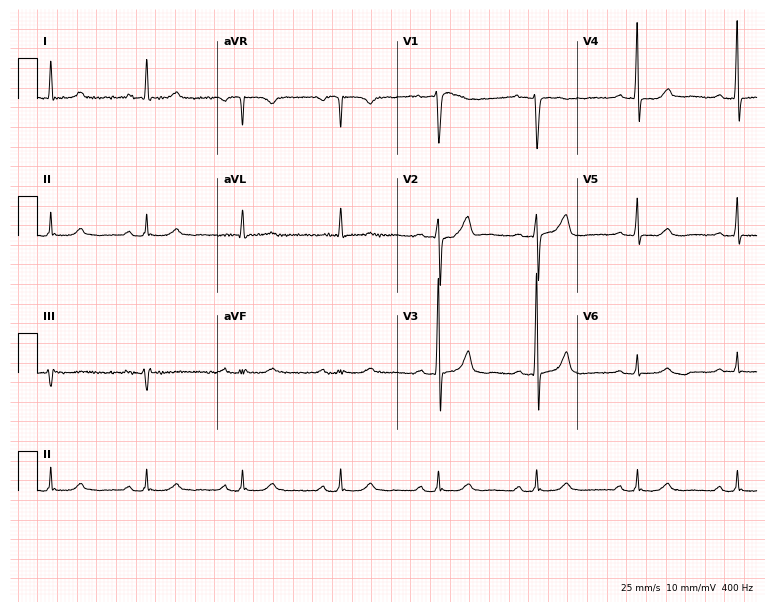
Resting 12-lead electrocardiogram. Patient: a 64-year-old male. None of these six findings is recorded: first-degree AV block, right bundle branch block, left bundle branch block, sinus bradycardia, atrial fibrillation, sinus tachycardia.